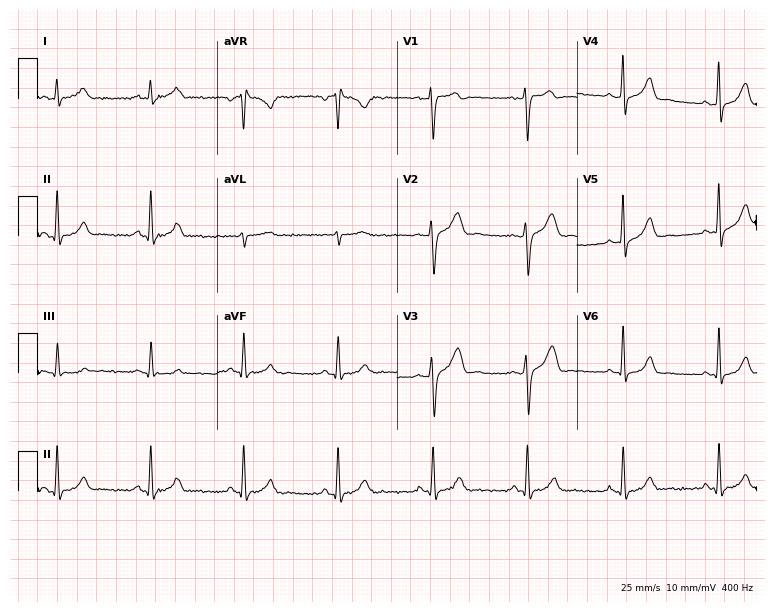
ECG (7.3-second recording at 400 Hz) — a 44-year-old male patient. Screened for six findings — first-degree AV block, right bundle branch block, left bundle branch block, sinus bradycardia, atrial fibrillation, sinus tachycardia — none is recorded. Other findings, if any, are not listed.